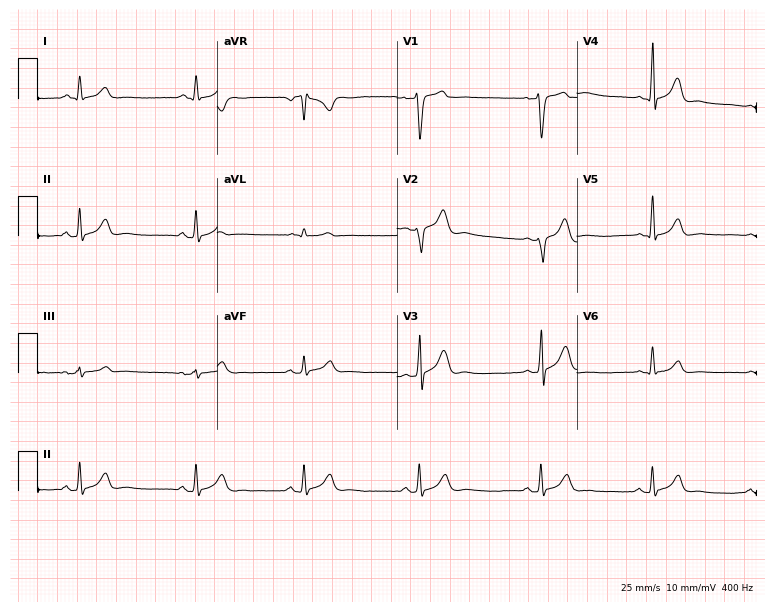
12-lead ECG from a 29-year-old male (7.3-second recording at 400 Hz). No first-degree AV block, right bundle branch block, left bundle branch block, sinus bradycardia, atrial fibrillation or sinus tachycardia recorded for this tracing.